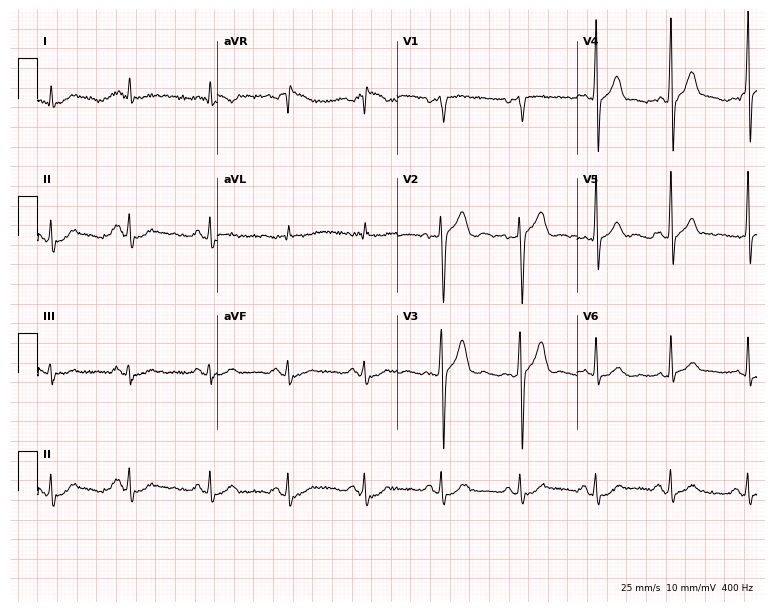
Electrocardiogram, a male patient, 35 years old. Of the six screened findings (first-degree AV block, right bundle branch block, left bundle branch block, sinus bradycardia, atrial fibrillation, sinus tachycardia), none is recorded. Other findings, if any, are not listed.